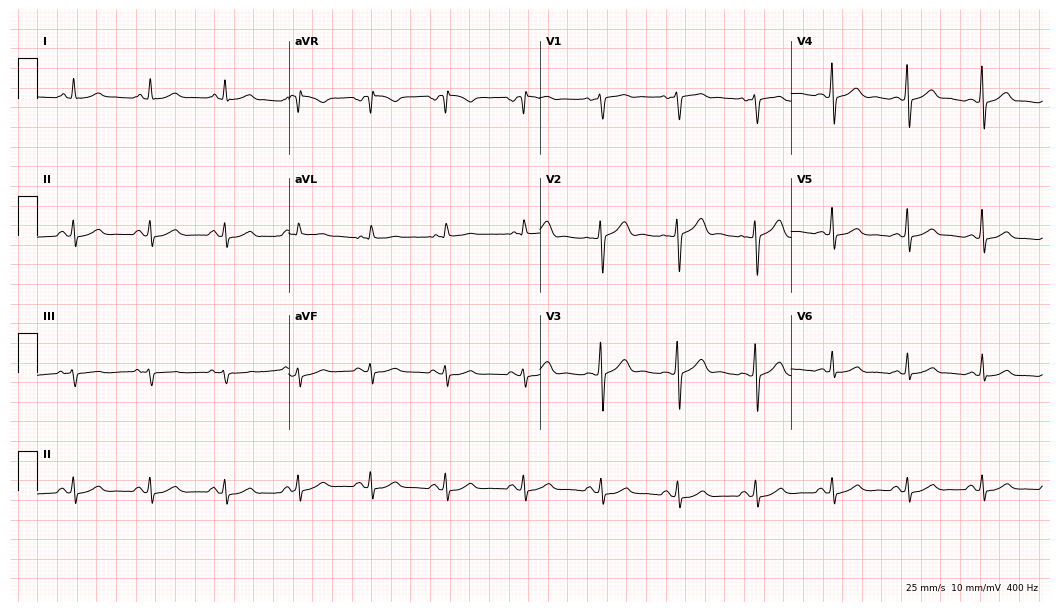
Standard 12-lead ECG recorded from a 43-year-old male. Read as a normal ECG.